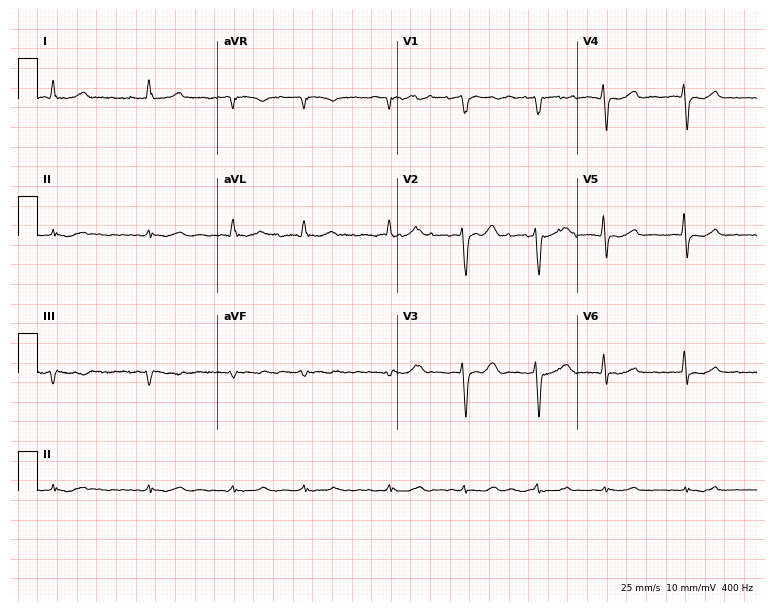
ECG — a 58-year-old male patient. Screened for six findings — first-degree AV block, right bundle branch block (RBBB), left bundle branch block (LBBB), sinus bradycardia, atrial fibrillation (AF), sinus tachycardia — none is recorded.